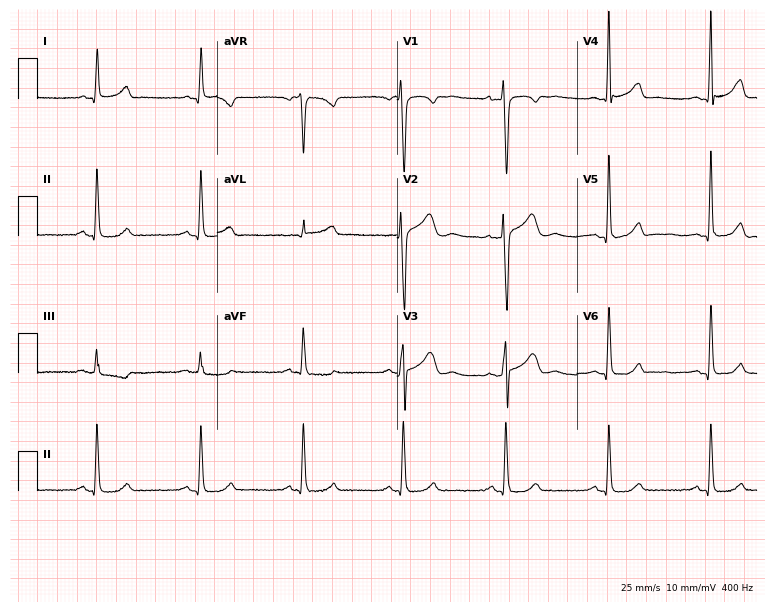
ECG — a male, 37 years old. Labelled as a normal ECG.